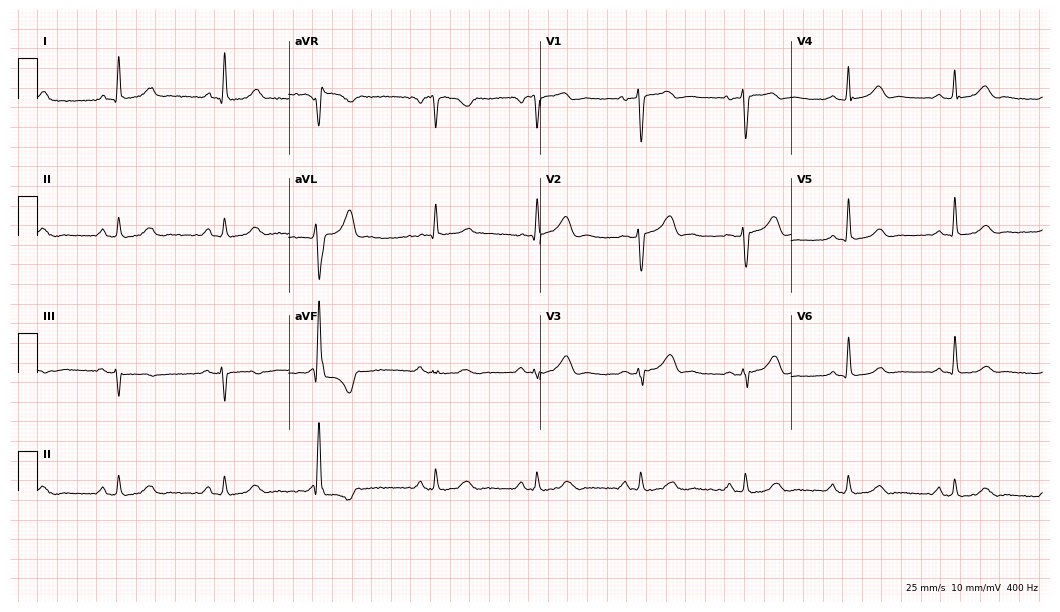
12-lead ECG (10.2-second recording at 400 Hz) from a 36-year-old woman. Screened for six findings — first-degree AV block, right bundle branch block, left bundle branch block, sinus bradycardia, atrial fibrillation, sinus tachycardia — none is recorded. Findings outside these six are not listed.